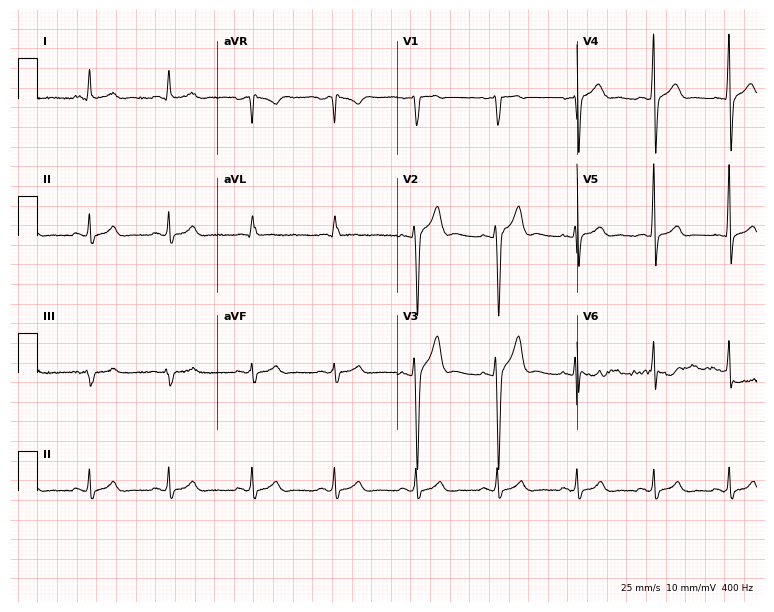
12-lead ECG from a man, 28 years old. Recorded interpretation: within normal limits.